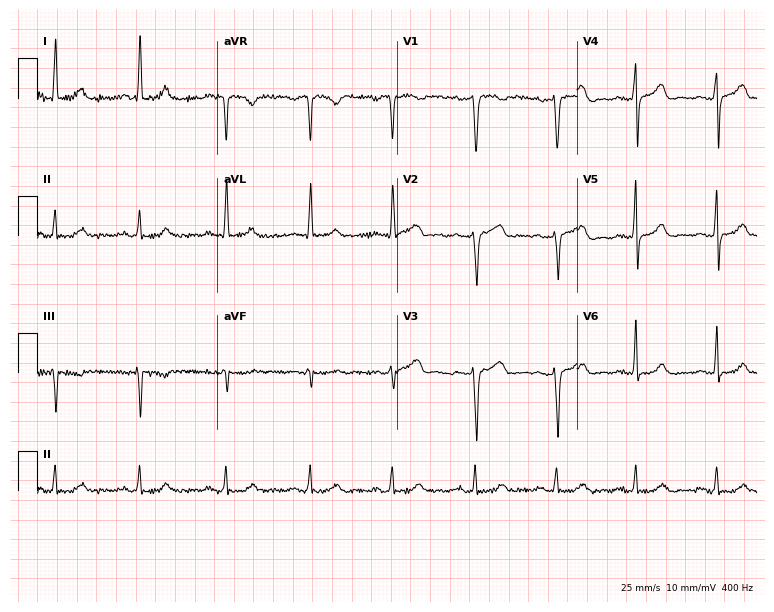
12-lead ECG from a female, 42 years old. Screened for six findings — first-degree AV block, right bundle branch block, left bundle branch block, sinus bradycardia, atrial fibrillation, sinus tachycardia — none is recorded.